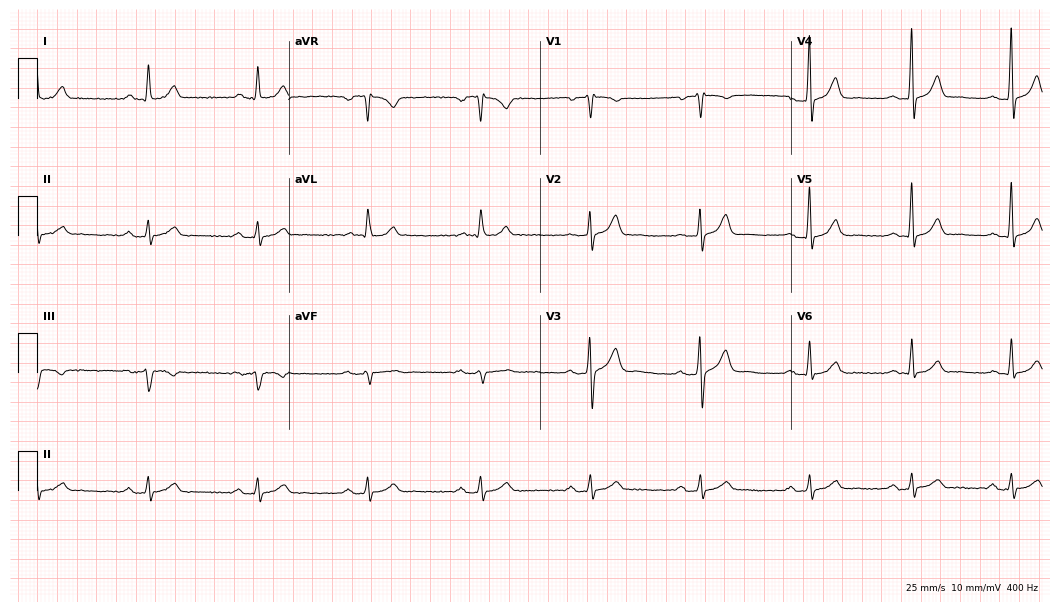
12-lead ECG from a male, 60 years old (10.2-second recording at 400 Hz). Recorded interpretation: within normal limits.